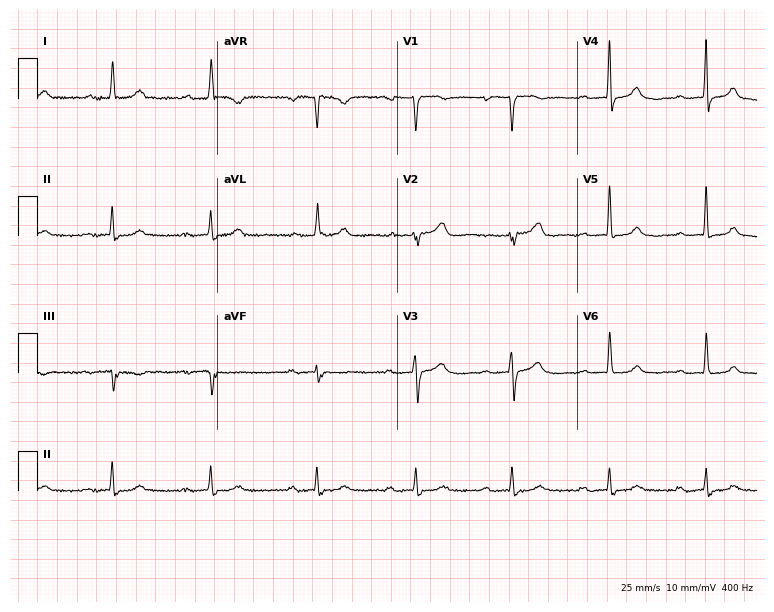
Resting 12-lead electrocardiogram. Patient: a female, 81 years old. The tracing shows first-degree AV block.